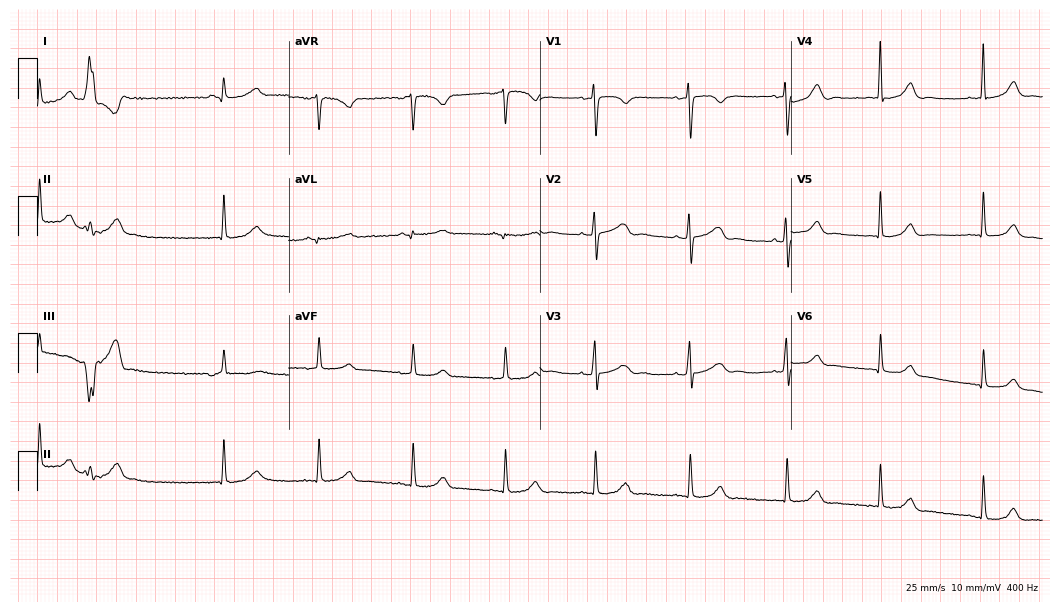
ECG (10.2-second recording at 400 Hz) — a 44-year-old female patient. Screened for six findings — first-degree AV block, right bundle branch block, left bundle branch block, sinus bradycardia, atrial fibrillation, sinus tachycardia — none is recorded. Findings outside these six are not listed.